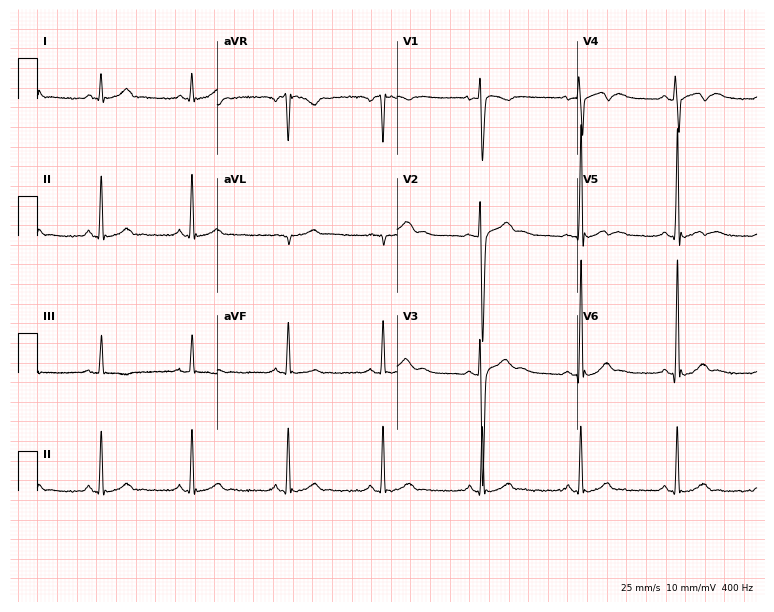
12-lead ECG from a male patient, 34 years old (7.3-second recording at 400 Hz). No first-degree AV block, right bundle branch block, left bundle branch block, sinus bradycardia, atrial fibrillation or sinus tachycardia recorded for this tracing. Findings outside these six are not listed.